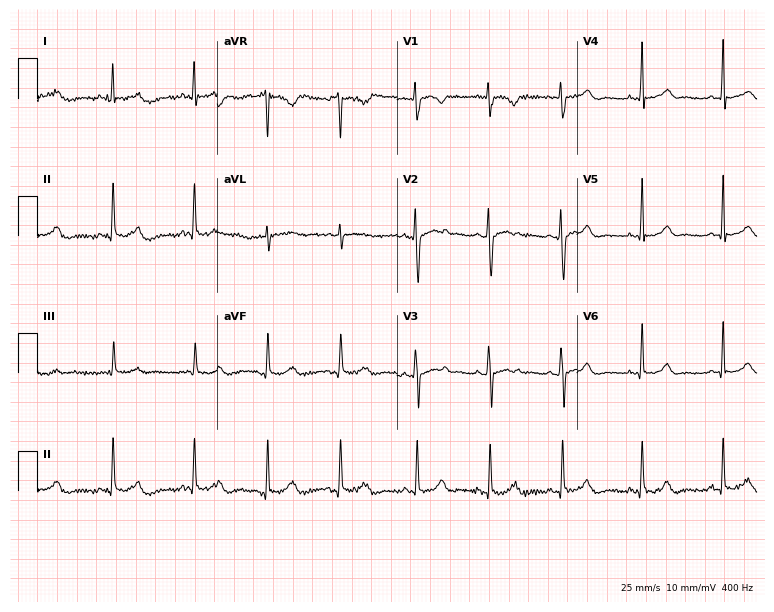
Standard 12-lead ECG recorded from a female patient, 21 years old. Read as a normal ECG.